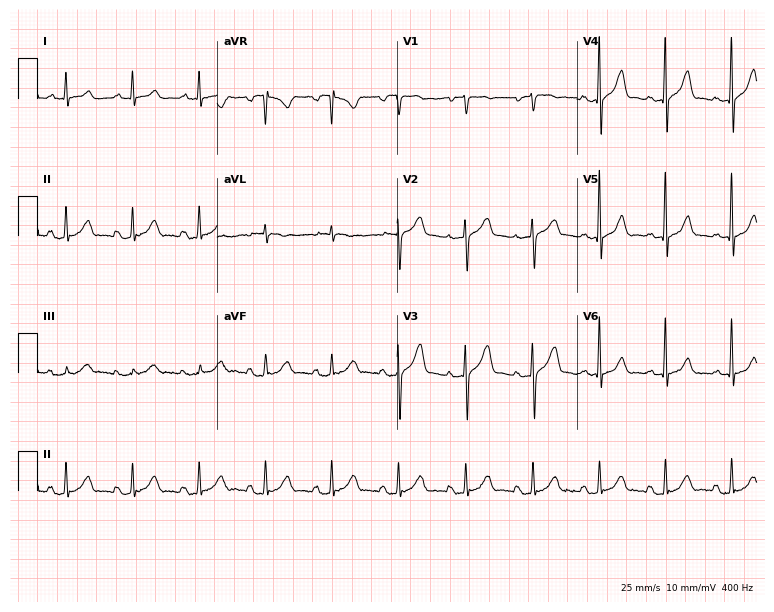
Electrocardiogram, a male, 61 years old. Overall reading on record: normal ECG.